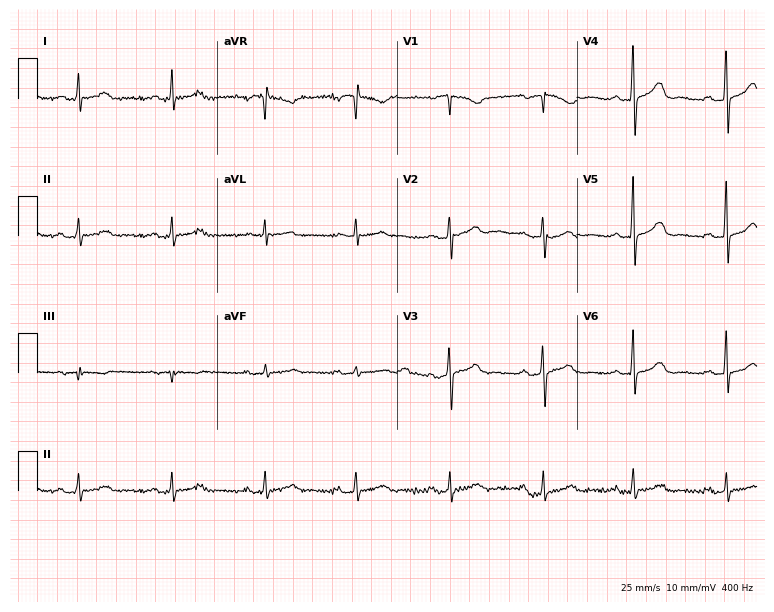
Standard 12-lead ECG recorded from a woman, 77 years old. None of these six findings is recorded: first-degree AV block, right bundle branch block, left bundle branch block, sinus bradycardia, atrial fibrillation, sinus tachycardia.